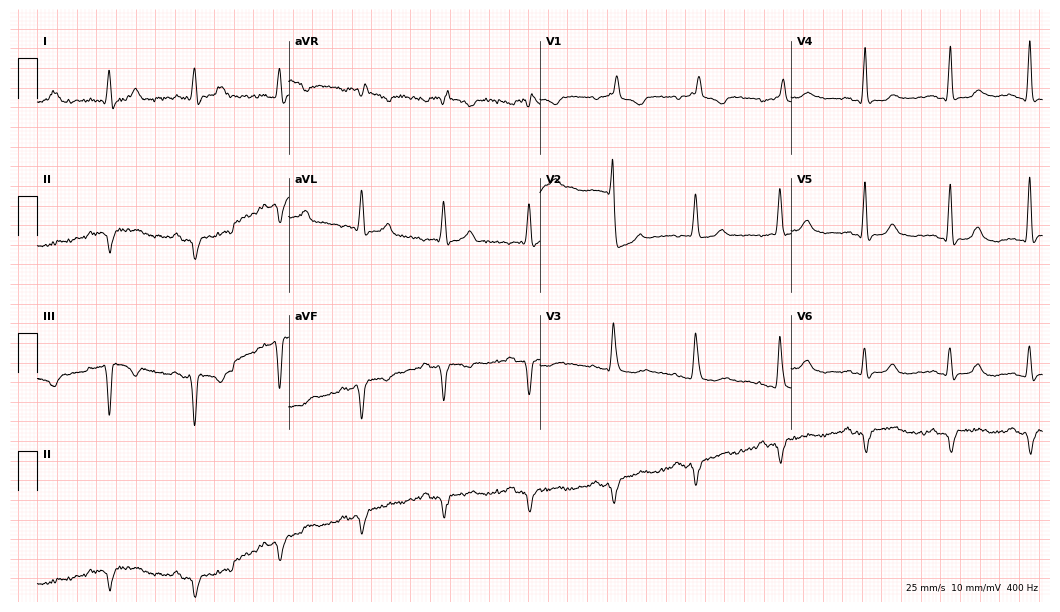
Resting 12-lead electrocardiogram (10.2-second recording at 400 Hz). Patient: a female, 81 years old. None of these six findings is recorded: first-degree AV block, right bundle branch block, left bundle branch block, sinus bradycardia, atrial fibrillation, sinus tachycardia. Other findings, if any, are not listed.